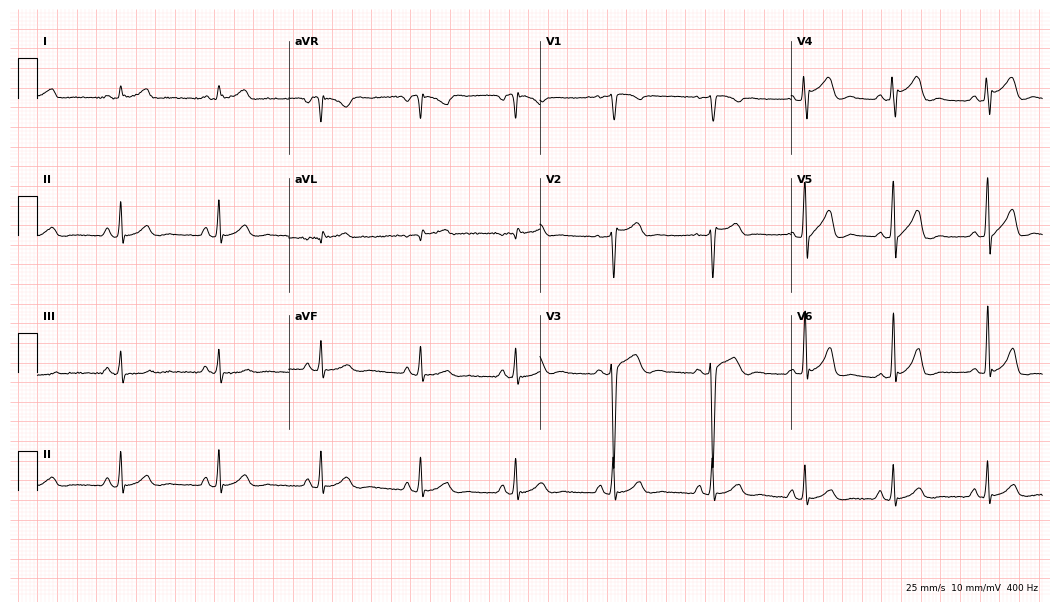
Resting 12-lead electrocardiogram. Patient: a man, 33 years old. None of these six findings is recorded: first-degree AV block, right bundle branch block, left bundle branch block, sinus bradycardia, atrial fibrillation, sinus tachycardia.